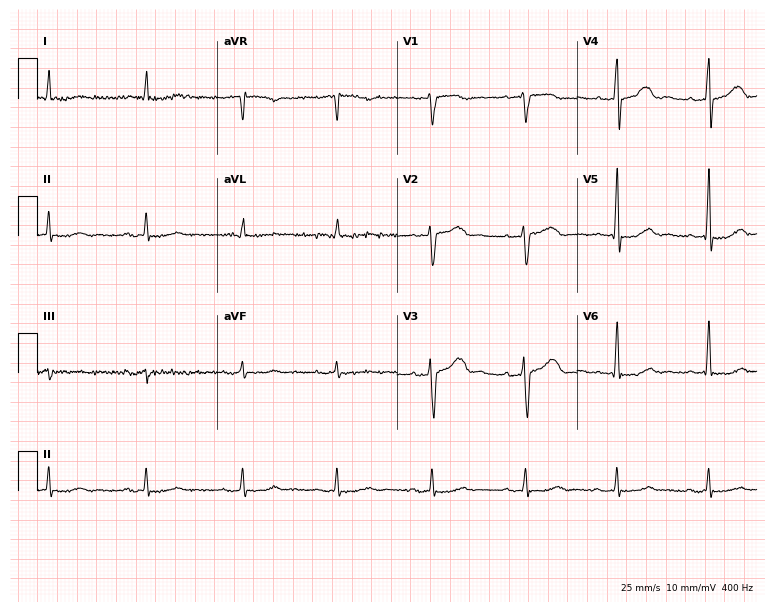
Electrocardiogram, a 79-year-old male patient. Overall reading on record: normal ECG.